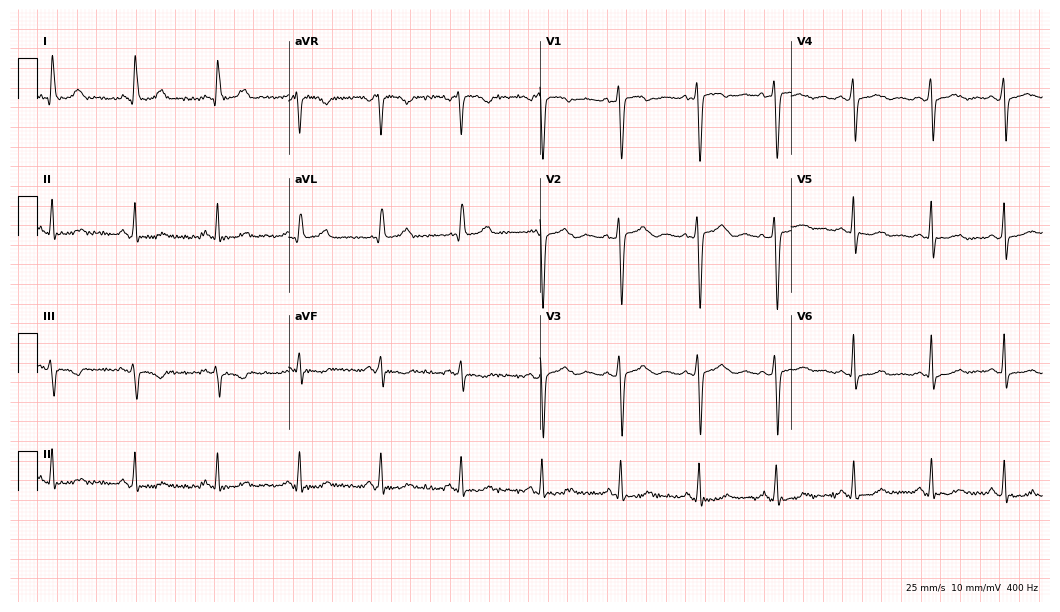
12-lead ECG from a 48-year-old woman (10.2-second recording at 400 Hz). Recorded interpretation: within normal limits.